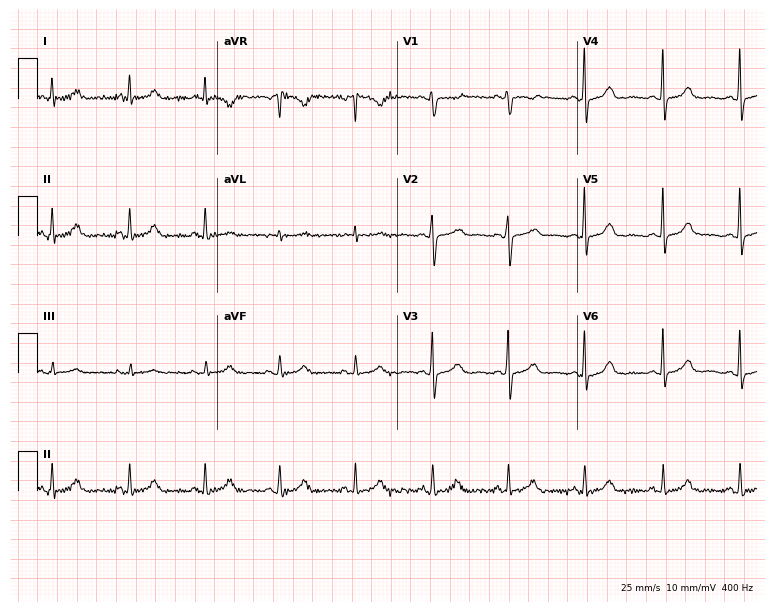
Resting 12-lead electrocardiogram (7.3-second recording at 400 Hz). Patient: a female, 49 years old. Read as a normal ECG.